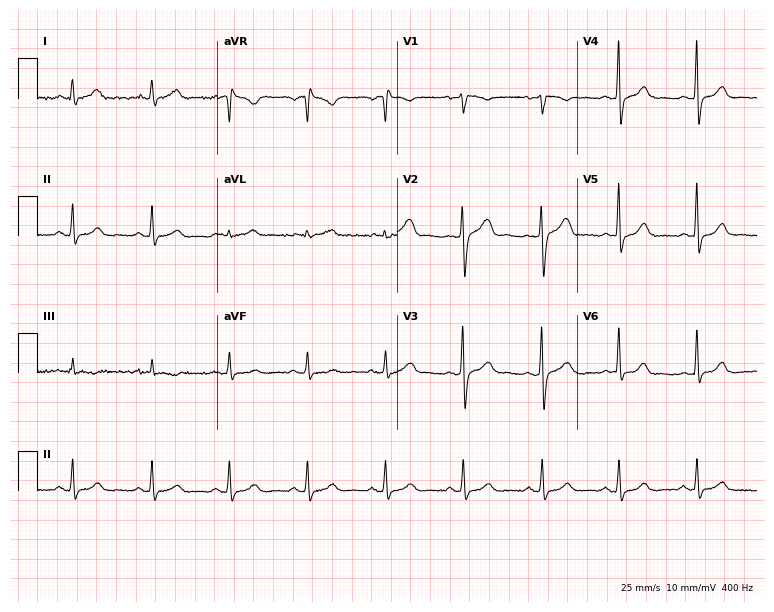
12-lead ECG from a 36-year-old woman. Recorded interpretation: within normal limits.